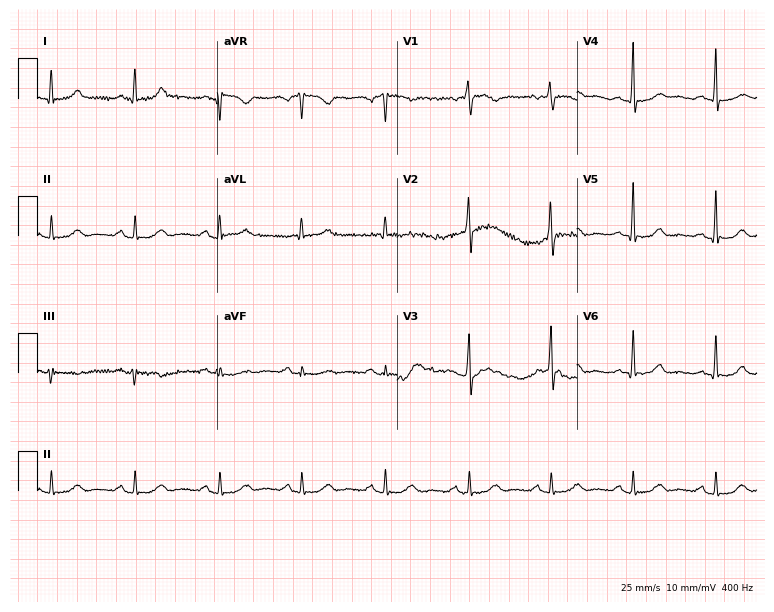
12-lead ECG (7.3-second recording at 400 Hz) from a 51-year-old male. Screened for six findings — first-degree AV block, right bundle branch block (RBBB), left bundle branch block (LBBB), sinus bradycardia, atrial fibrillation (AF), sinus tachycardia — none is recorded.